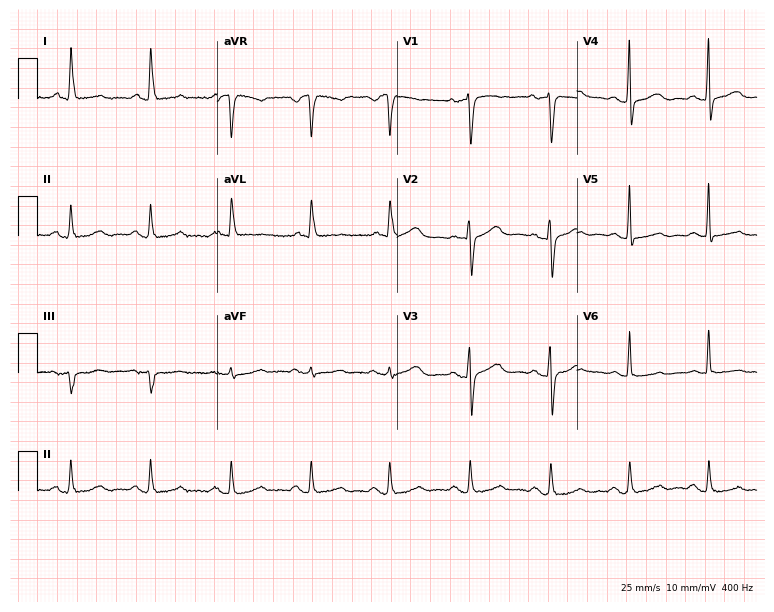
12-lead ECG from a 79-year-old female. Recorded interpretation: within normal limits.